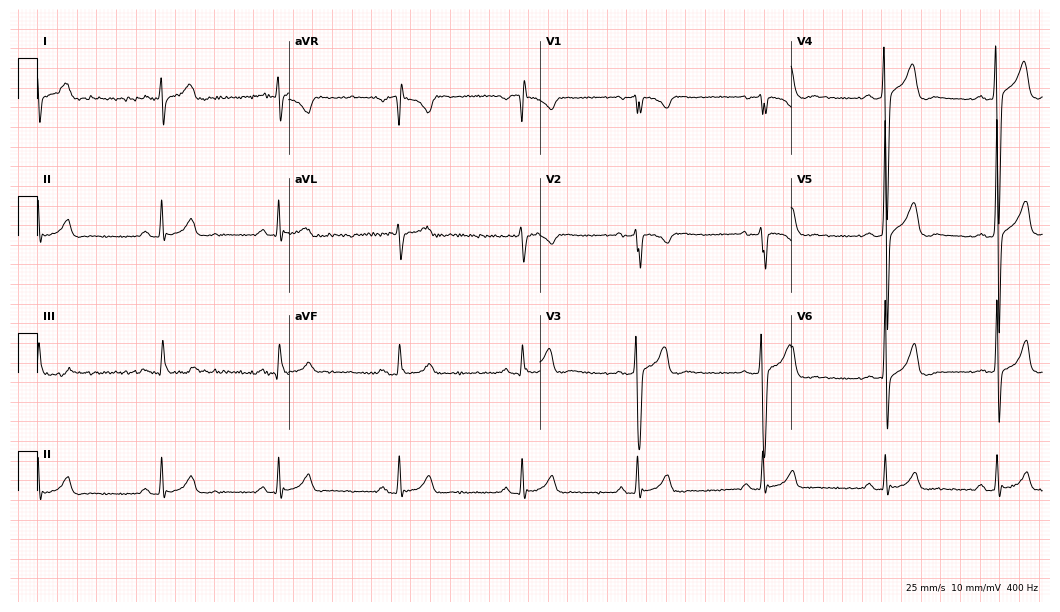
Standard 12-lead ECG recorded from a man, 28 years old. None of these six findings is recorded: first-degree AV block, right bundle branch block (RBBB), left bundle branch block (LBBB), sinus bradycardia, atrial fibrillation (AF), sinus tachycardia.